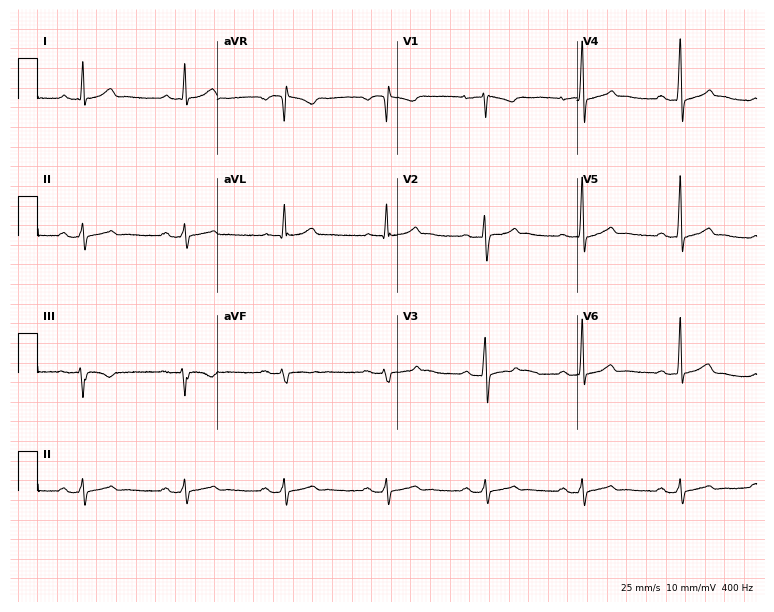
12-lead ECG (7.3-second recording at 400 Hz) from a male, 42 years old. Labelled as a normal ECG.